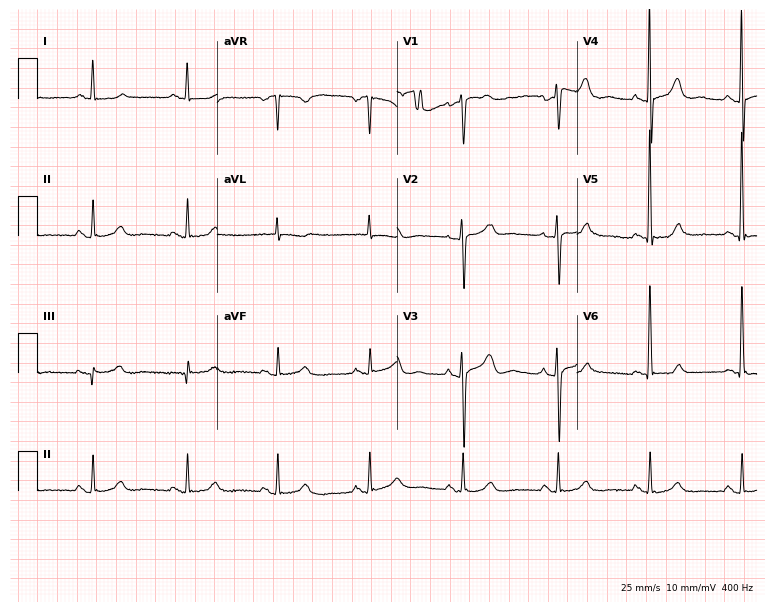
Electrocardiogram (7.3-second recording at 400 Hz), a female, 73 years old. Of the six screened findings (first-degree AV block, right bundle branch block (RBBB), left bundle branch block (LBBB), sinus bradycardia, atrial fibrillation (AF), sinus tachycardia), none is recorded.